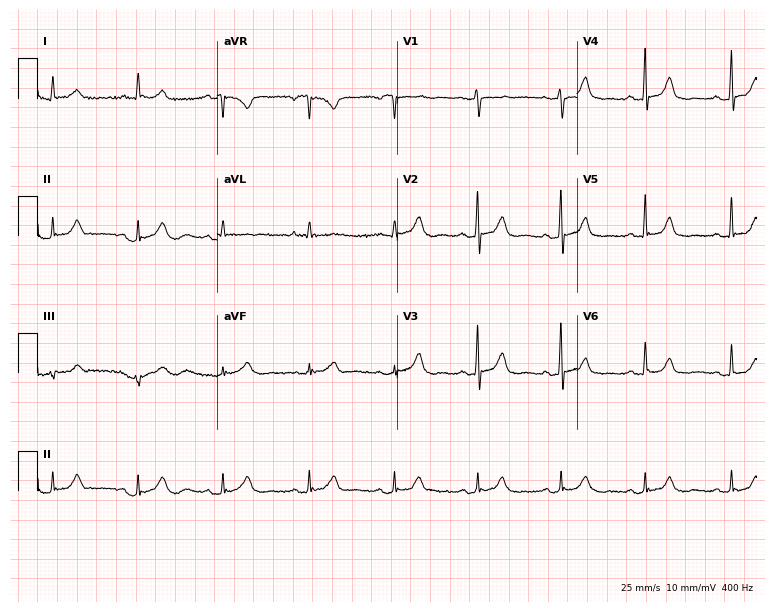
Standard 12-lead ECG recorded from a 71-year-old female. None of these six findings is recorded: first-degree AV block, right bundle branch block, left bundle branch block, sinus bradycardia, atrial fibrillation, sinus tachycardia.